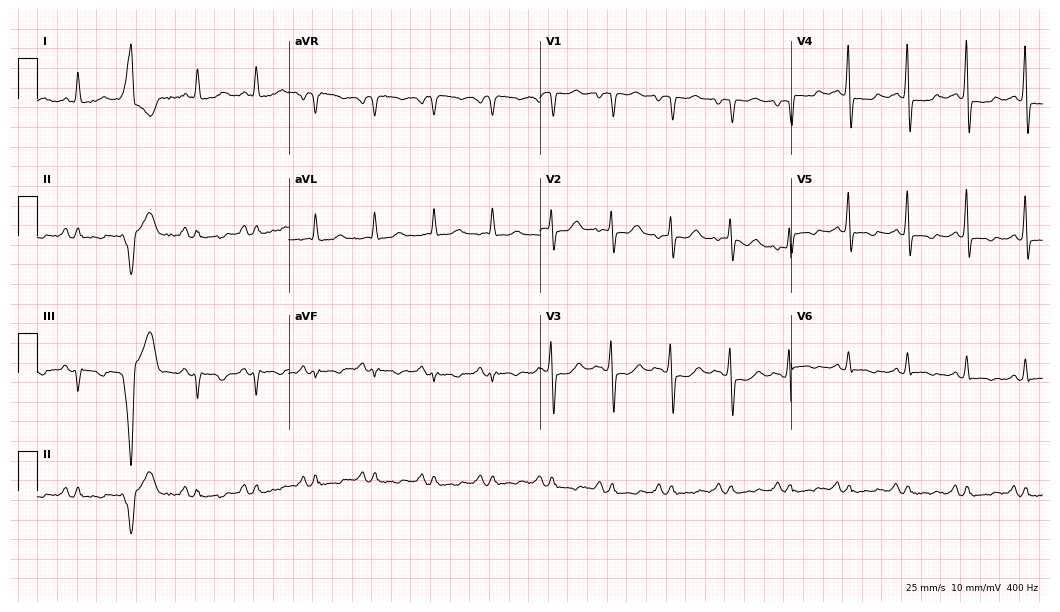
12-lead ECG from a female patient, 77 years old (10.2-second recording at 400 Hz). No first-degree AV block, right bundle branch block, left bundle branch block, sinus bradycardia, atrial fibrillation or sinus tachycardia recorded for this tracing.